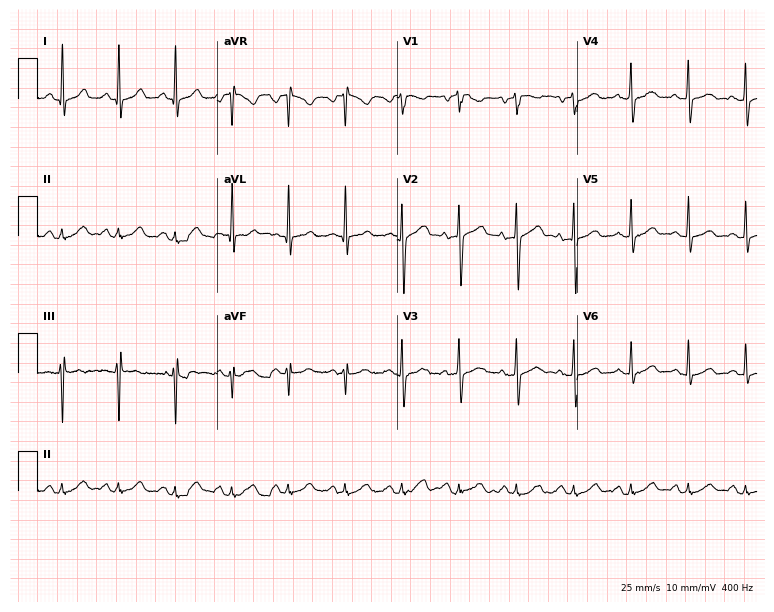
Standard 12-lead ECG recorded from a 56-year-old male patient (7.3-second recording at 400 Hz). The tracing shows sinus tachycardia (a sinus rate of 100 beats per minute or more).